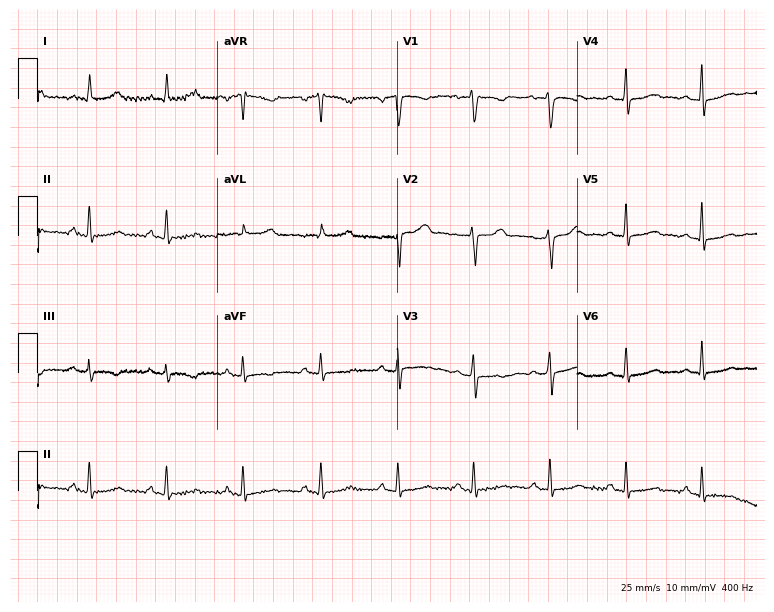
Standard 12-lead ECG recorded from a 38-year-old woman (7.3-second recording at 400 Hz). Read as a normal ECG.